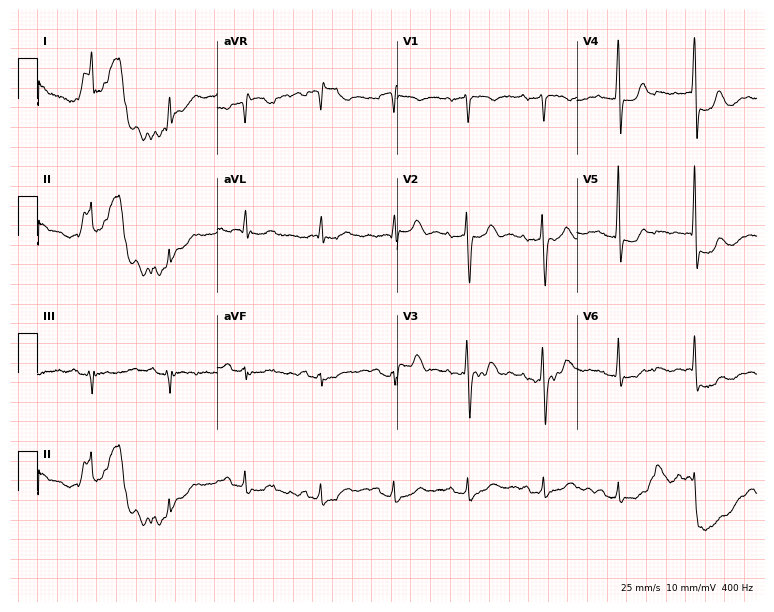
12-lead ECG (7.3-second recording at 400 Hz) from a 68-year-old female patient. Screened for six findings — first-degree AV block, right bundle branch block, left bundle branch block, sinus bradycardia, atrial fibrillation, sinus tachycardia — none is recorded. Findings outside these six are not listed.